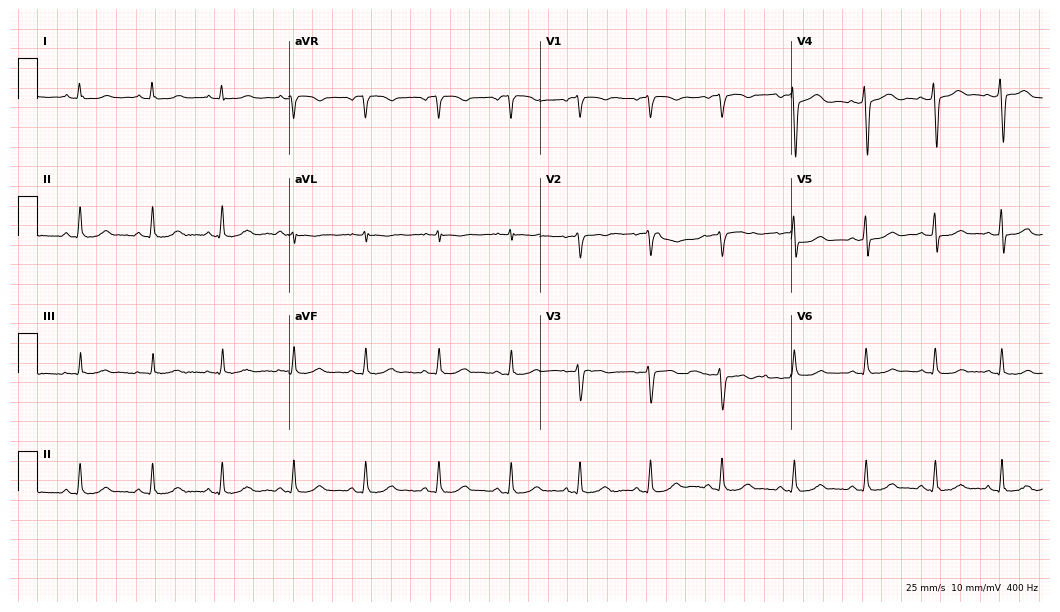
12-lead ECG from a woman, 44 years old (10.2-second recording at 400 Hz). No first-degree AV block, right bundle branch block, left bundle branch block, sinus bradycardia, atrial fibrillation or sinus tachycardia recorded for this tracing. Only these six findings were labelled.